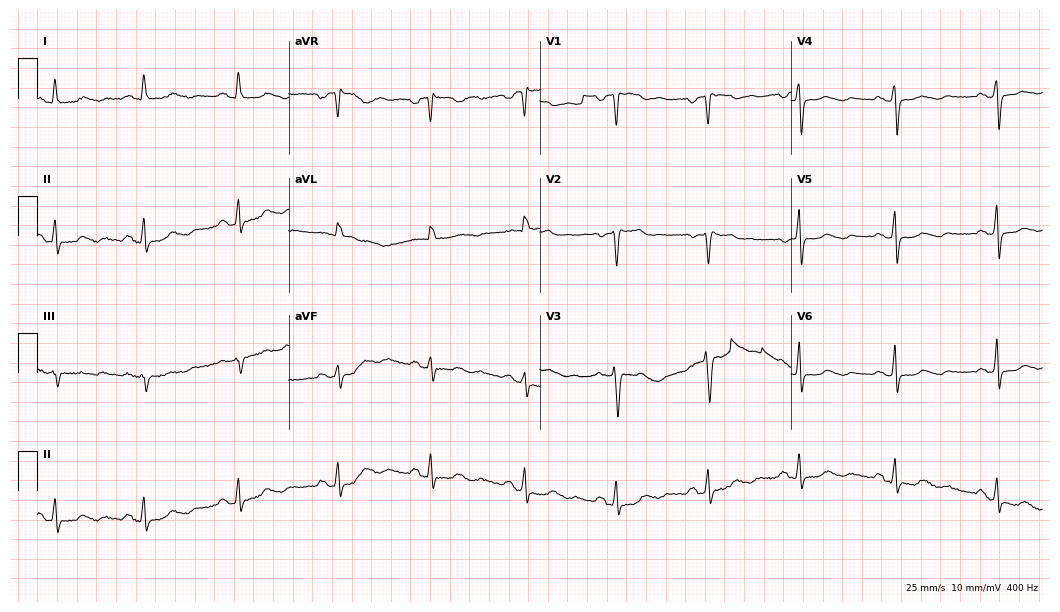
Resting 12-lead electrocardiogram (10.2-second recording at 400 Hz). Patient: a female, 54 years old. Read as a normal ECG.